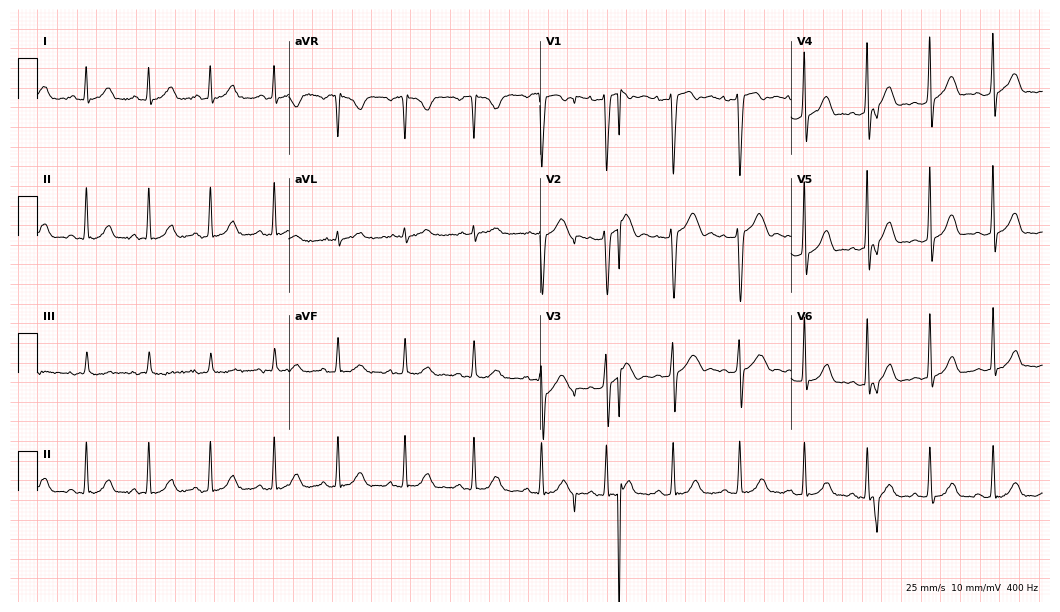
Standard 12-lead ECG recorded from a woman, 20 years old. None of these six findings is recorded: first-degree AV block, right bundle branch block, left bundle branch block, sinus bradycardia, atrial fibrillation, sinus tachycardia.